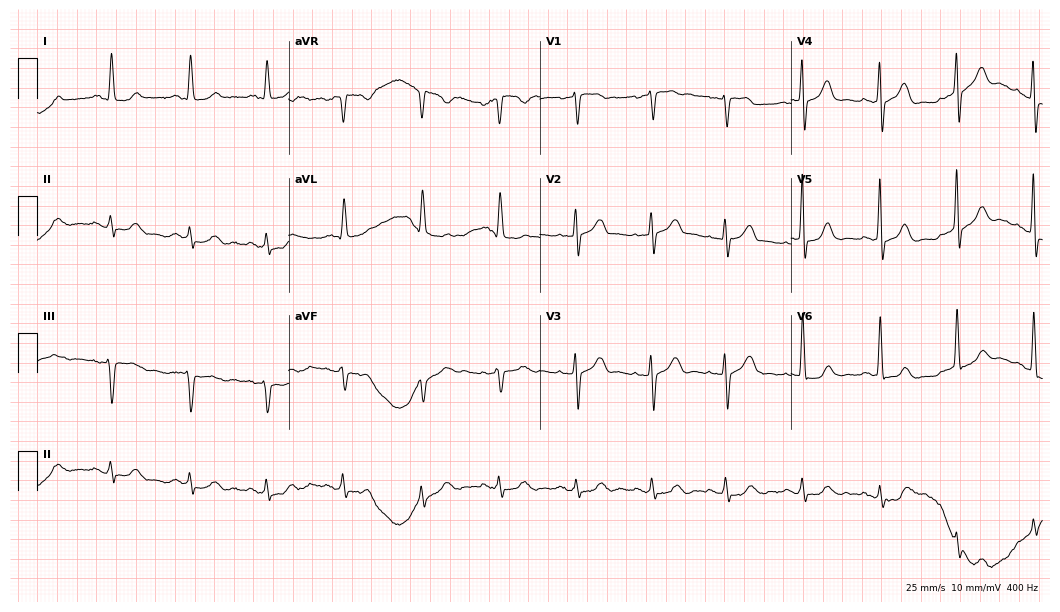
Resting 12-lead electrocardiogram (10.2-second recording at 400 Hz). Patient: a woman, 77 years old. None of these six findings is recorded: first-degree AV block, right bundle branch block, left bundle branch block, sinus bradycardia, atrial fibrillation, sinus tachycardia.